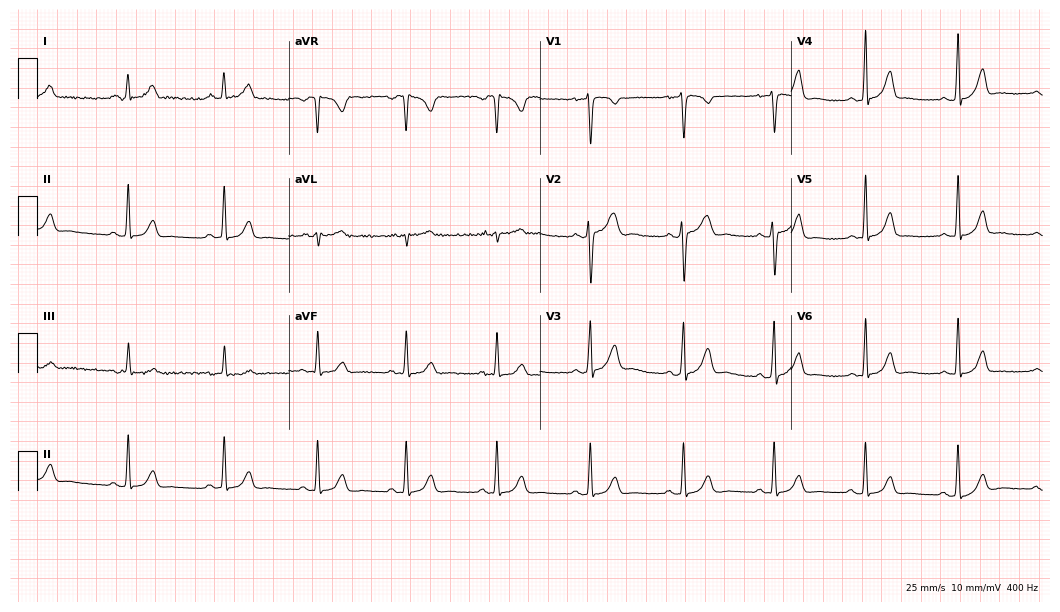
Electrocardiogram, a 31-year-old female patient. Overall reading on record: normal ECG.